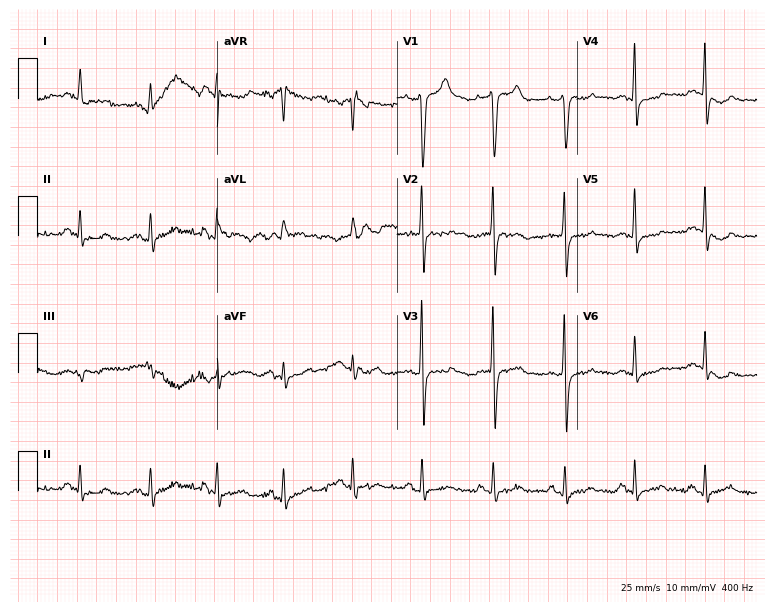
12-lead ECG from a 76-year-old male patient. Labelled as a normal ECG.